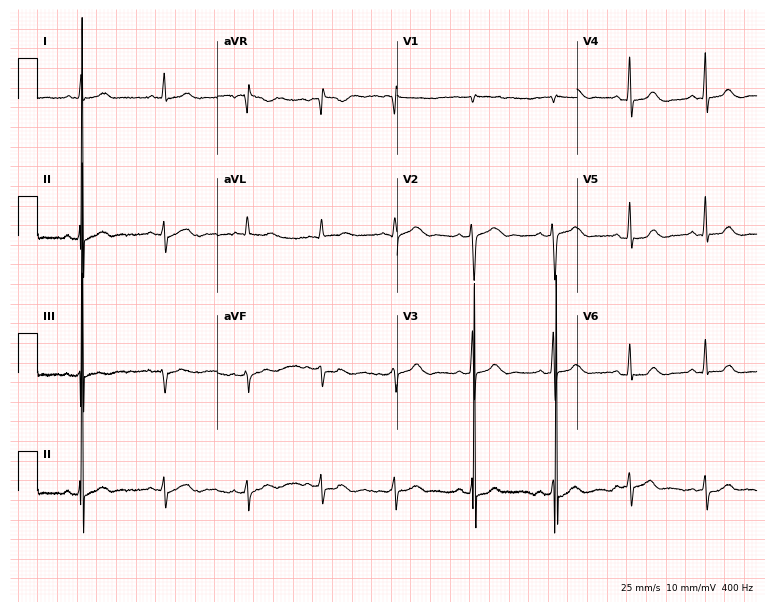
ECG (7.3-second recording at 400 Hz) — a 36-year-old female patient. Labelled as a normal ECG.